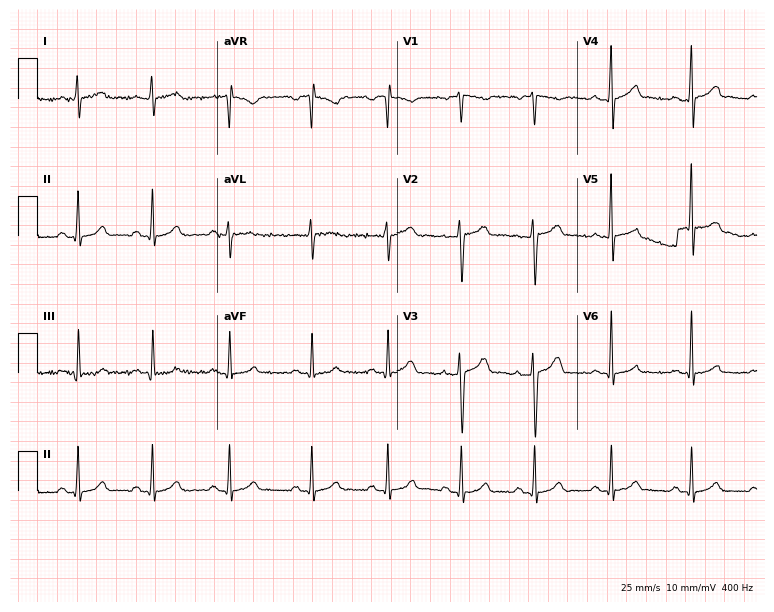
Standard 12-lead ECG recorded from a 35-year-old male. Read as a normal ECG.